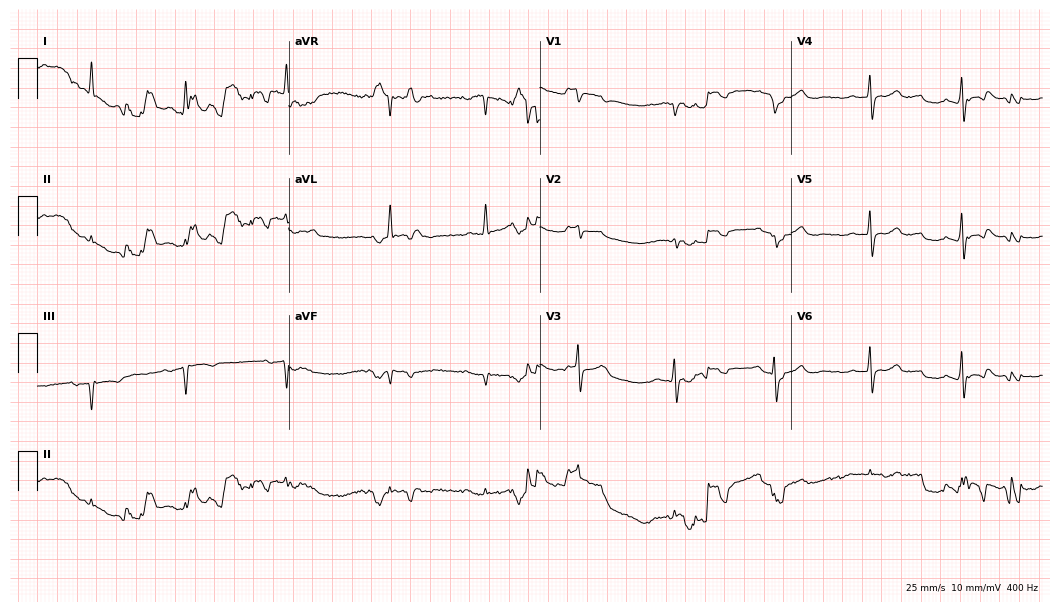
Resting 12-lead electrocardiogram (10.2-second recording at 400 Hz). Patient: a male, 71 years old. Read as a normal ECG.